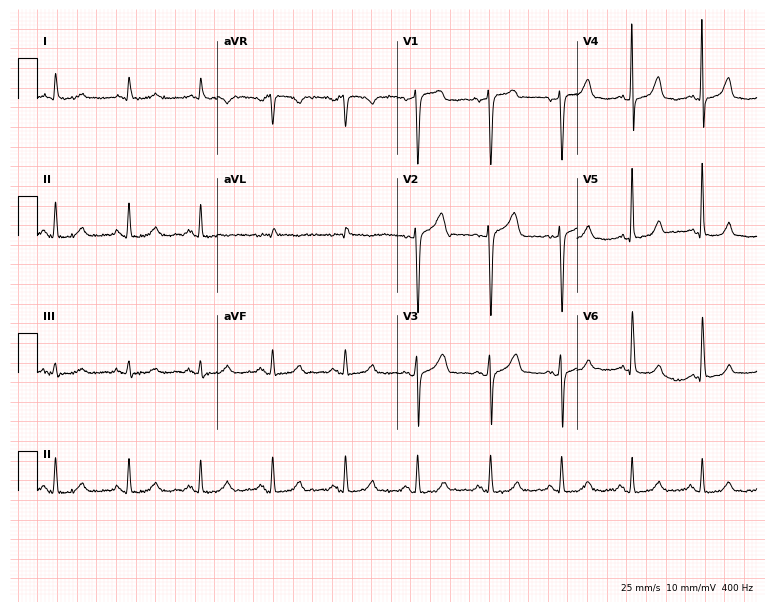
Electrocardiogram (7.3-second recording at 400 Hz), a woman, 56 years old. Of the six screened findings (first-degree AV block, right bundle branch block, left bundle branch block, sinus bradycardia, atrial fibrillation, sinus tachycardia), none is recorded. Findings outside these six are not listed.